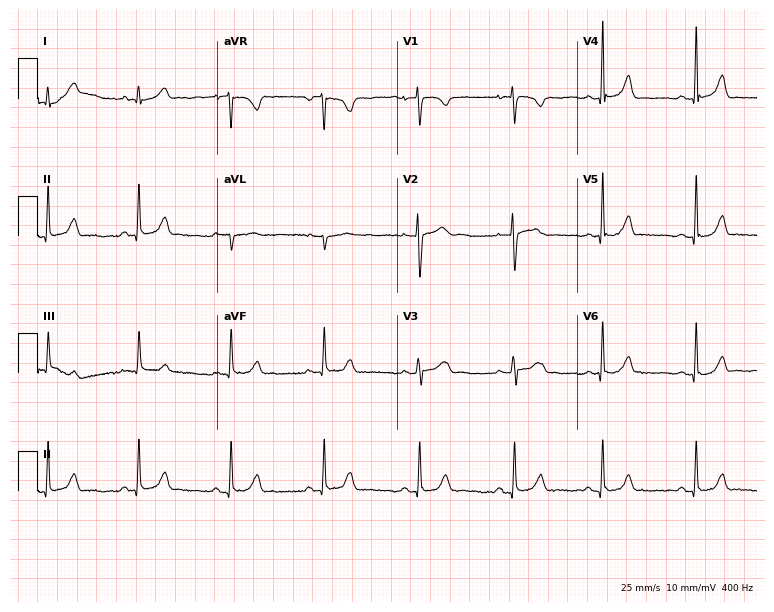
Resting 12-lead electrocardiogram. Patient: a 20-year-old female. Read as a normal ECG.